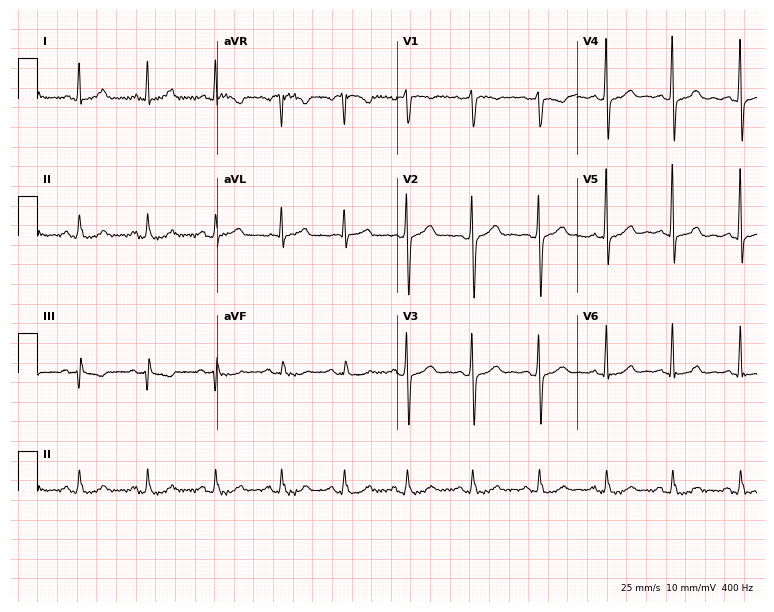
12-lead ECG from a 60-year-old woman (7.3-second recording at 400 Hz). Recorded interpretation: within normal limits.